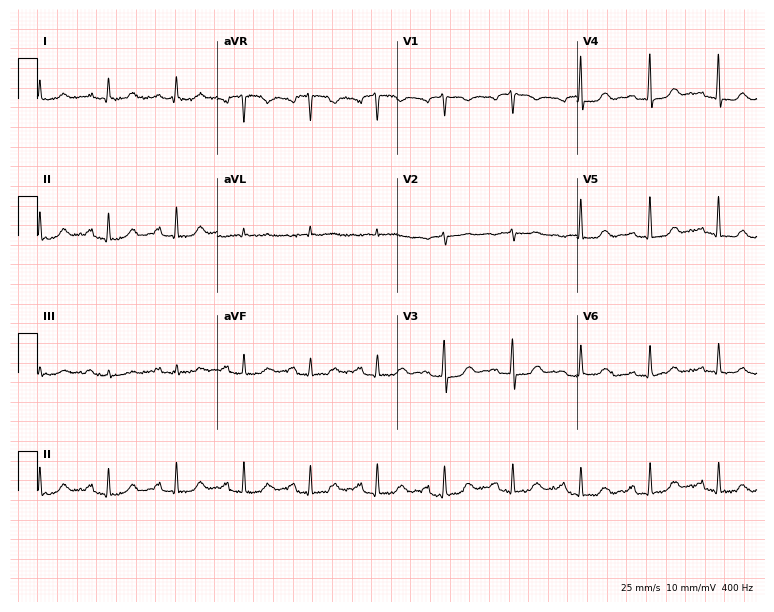
Standard 12-lead ECG recorded from a woman, 77 years old (7.3-second recording at 400 Hz). Read as a normal ECG.